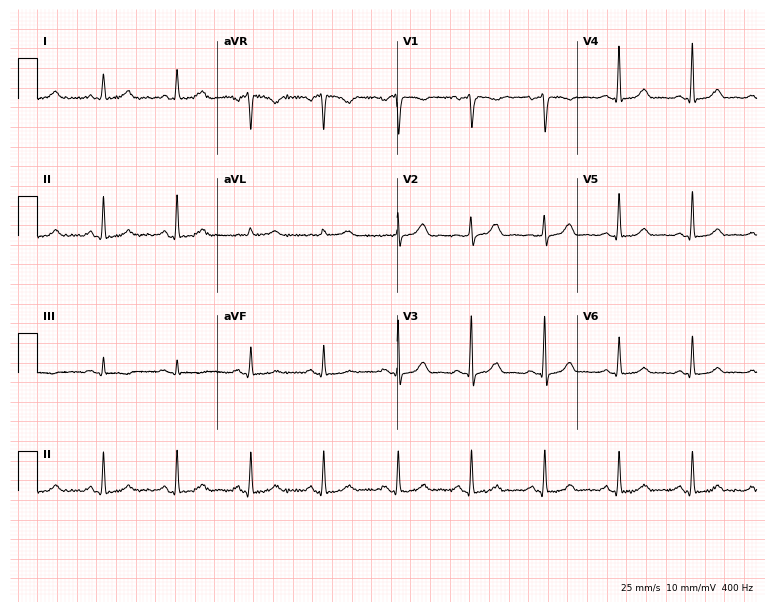
ECG — a 56-year-old female patient. Labelled as a normal ECG.